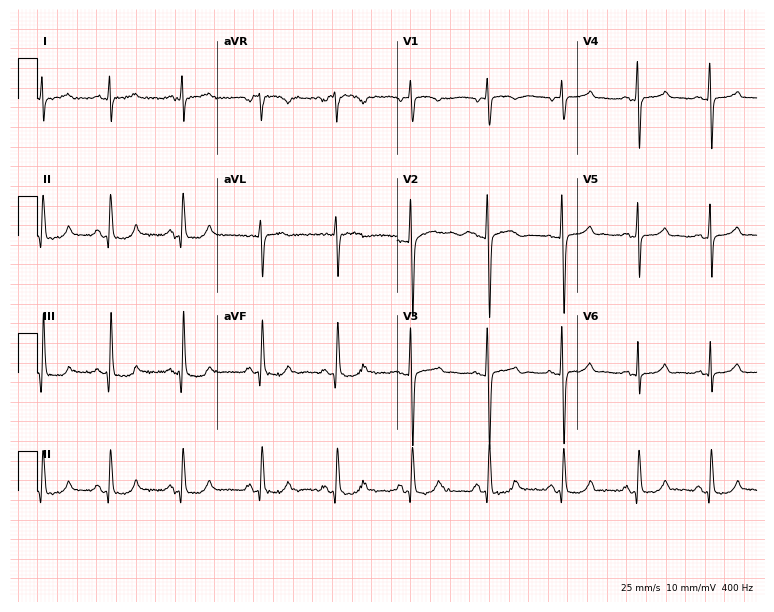
12-lead ECG from a 30-year-old man. Recorded interpretation: within normal limits.